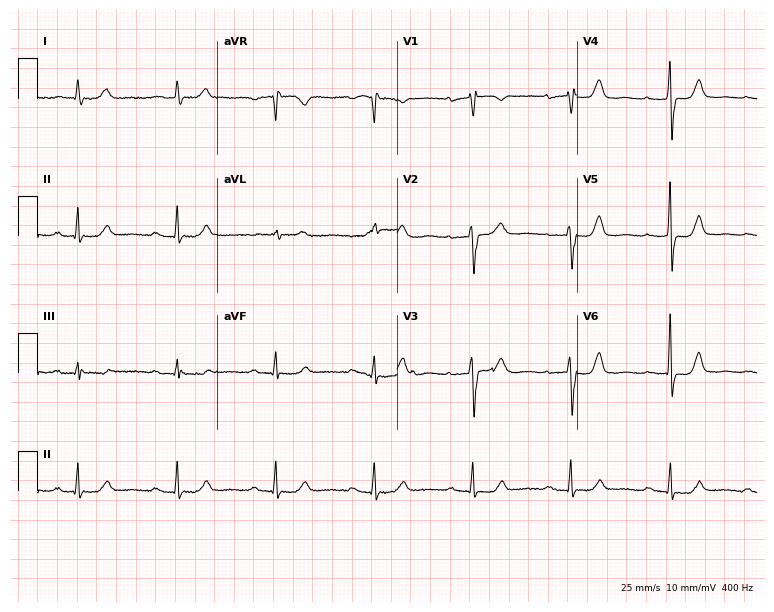
Standard 12-lead ECG recorded from an 80-year-old male patient. None of these six findings is recorded: first-degree AV block, right bundle branch block, left bundle branch block, sinus bradycardia, atrial fibrillation, sinus tachycardia. Other findings, if any, are not listed.